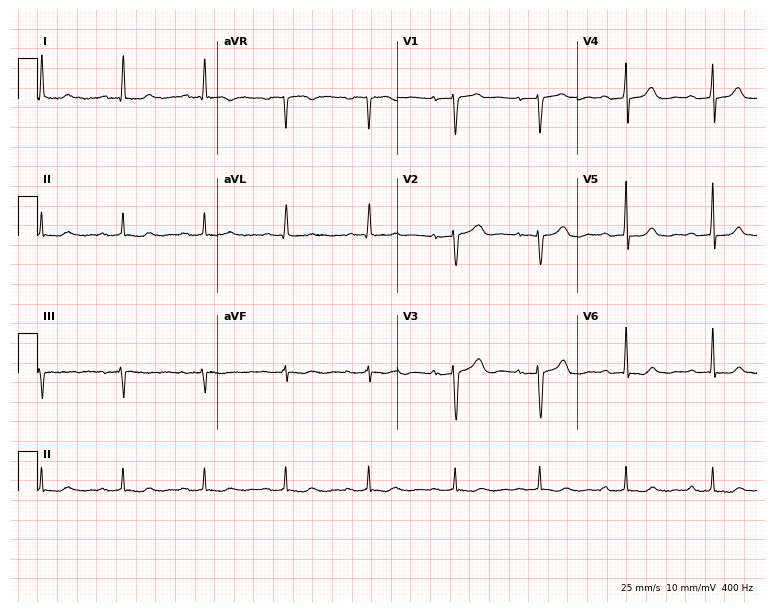
Standard 12-lead ECG recorded from a woman, 52 years old. The tracing shows first-degree AV block.